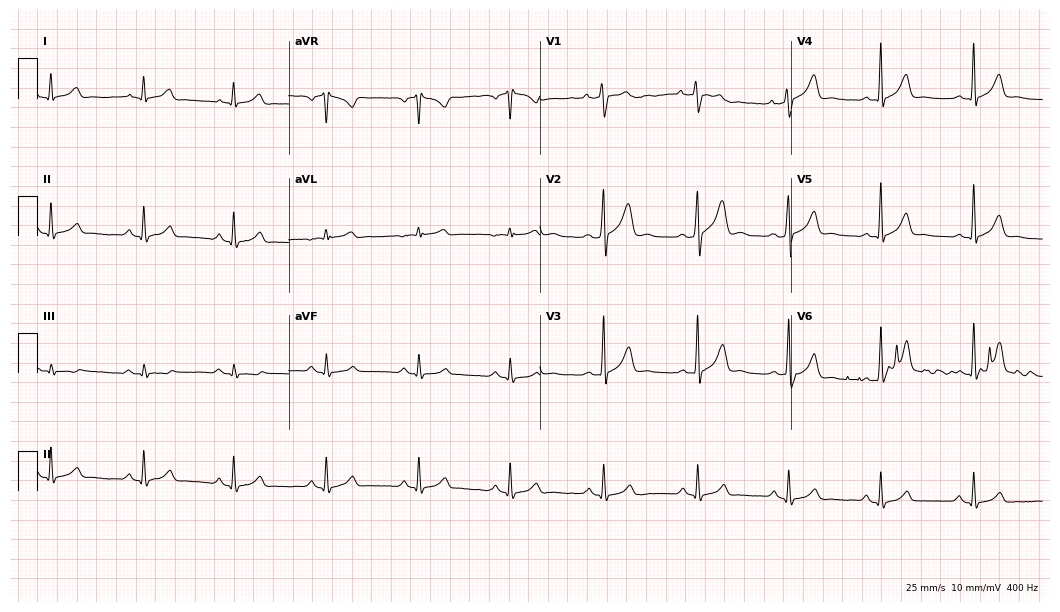
Electrocardiogram, a 48-year-old man. Overall reading on record: normal ECG.